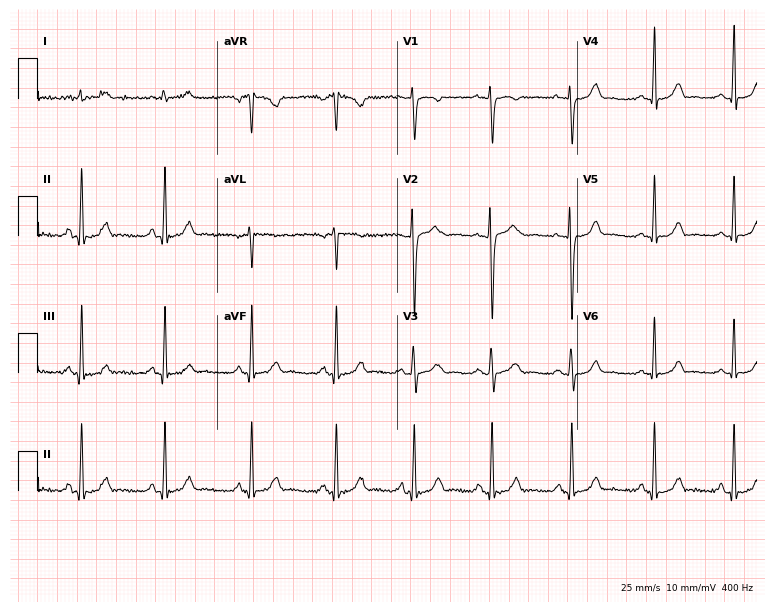
Electrocardiogram, a female patient, 30 years old. Overall reading on record: normal ECG.